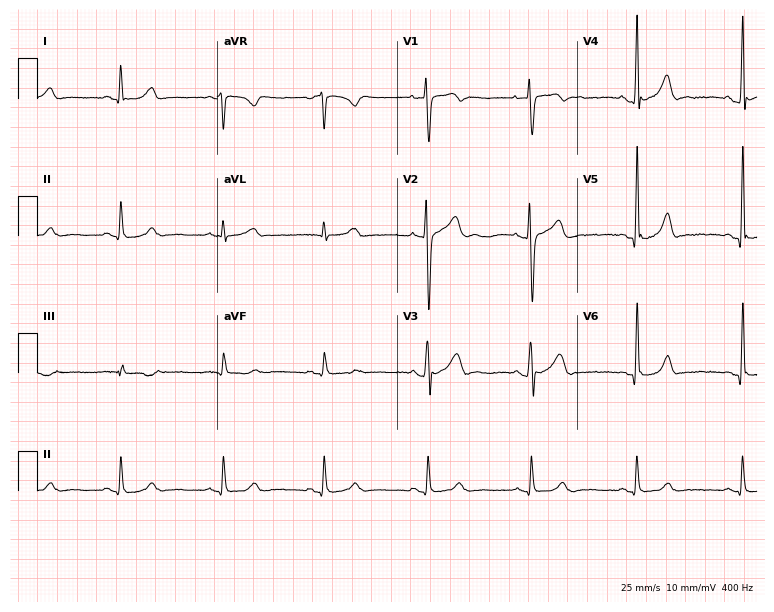
12-lead ECG from a 38-year-old male. Recorded interpretation: within normal limits.